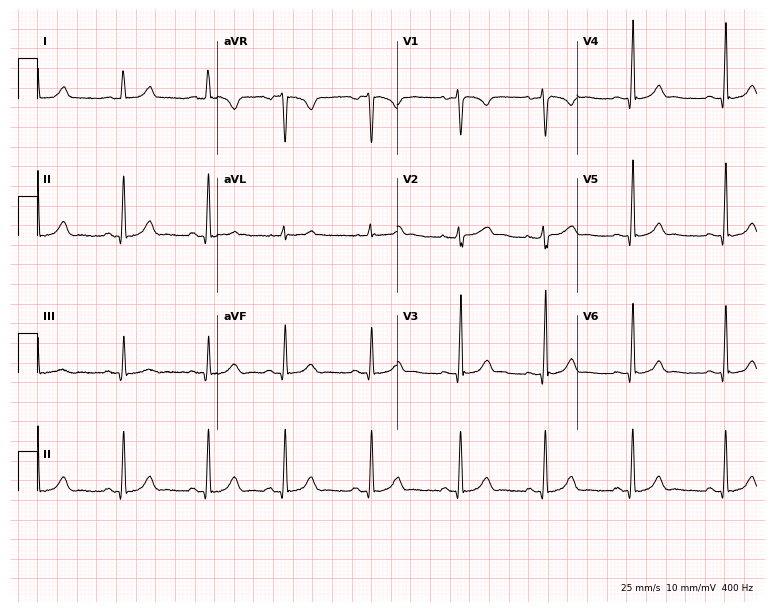
12-lead ECG from a woman, 36 years old. Recorded interpretation: within normal limits.